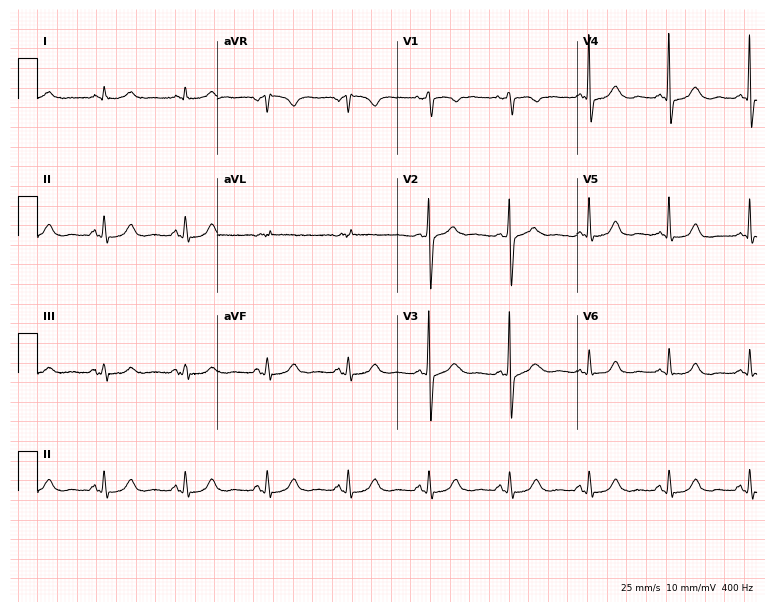
Electrocardiogram (7.3-second recording at 400 Hz), a man, 69 years old. Overall reading on record: normal ECG.